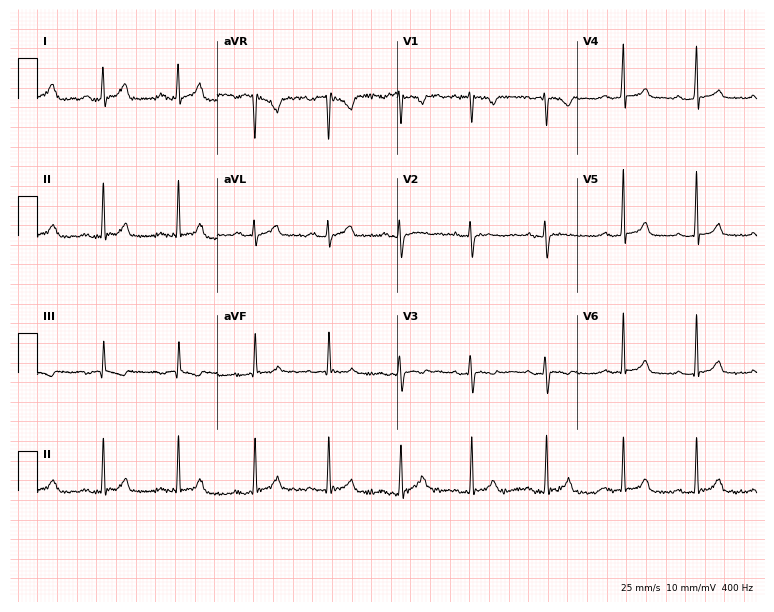
Resting 12-lead electrocardiogram. Patient: a woman, 30 years old. None of these six findings is recorded: first-degree AV block, right bundle branch block, left bundle branch block, sinus bradycardia, atrial fibrillation, sinus tachycardia. Findings outside these six are not listed.